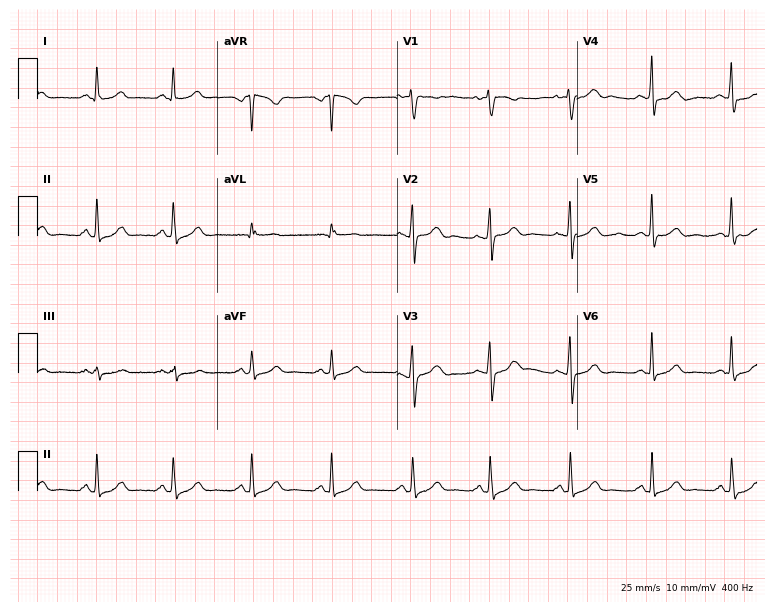
ECG (7.3-second recording at 400 Hz) — a 49-year-old female patient. Labelled as a normal ECG.